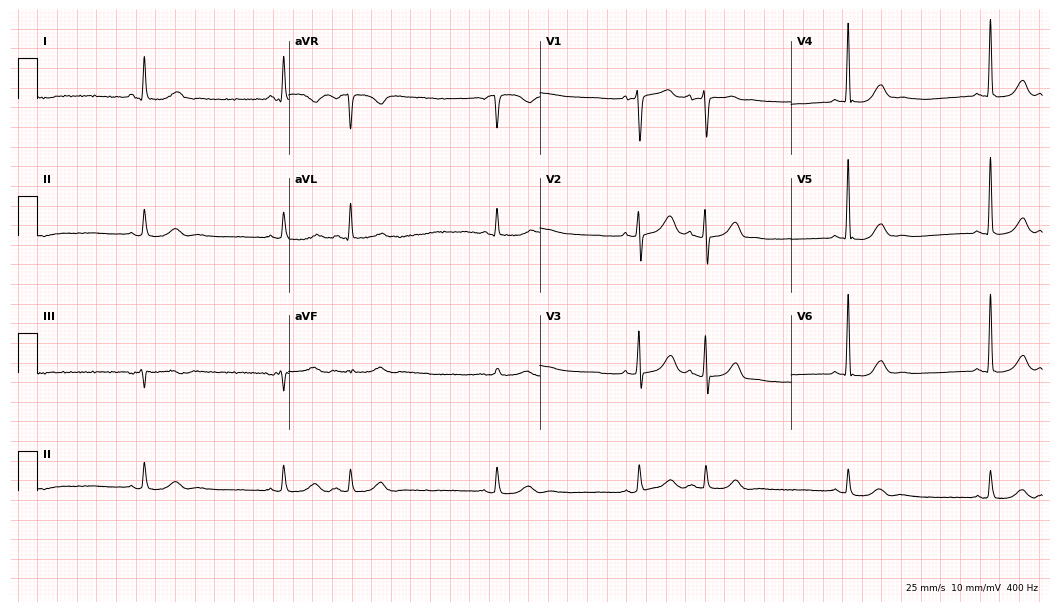
ECG (10.2-second recording at 400 Hz) — a 75-year-old man. Findings include sinus bradycardia (a sinus rate of 50 beats per minute or less).